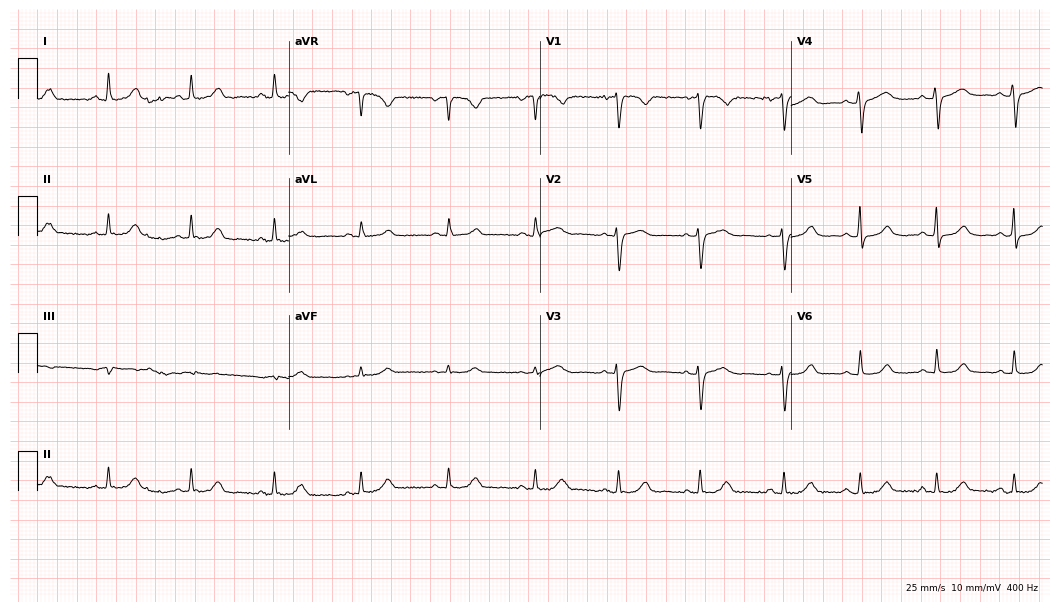
12-lead ECG from a female, 48 years old (10.2-second recording at 400 Hz). Recorded interpretation: within normal limits.